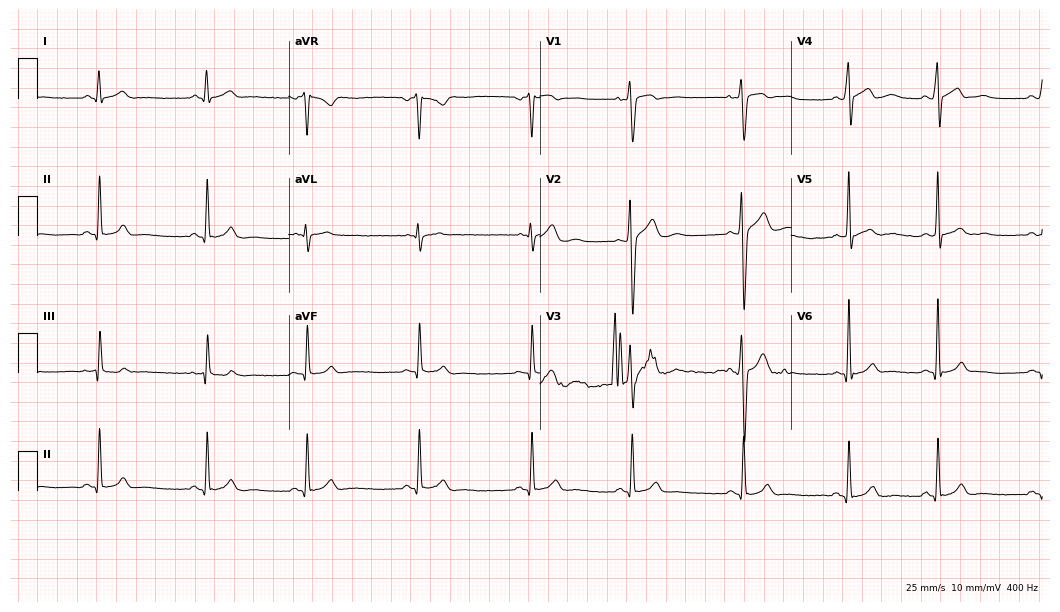
Resting 12-lead electrocardiogram. Patient: a 21-year-old male. None of these six findings is recorded: first-degree AV block, right bundle branch block, left bundle branch block, sinus bradycardia, atrial fibrillation, sinus tachycardia.